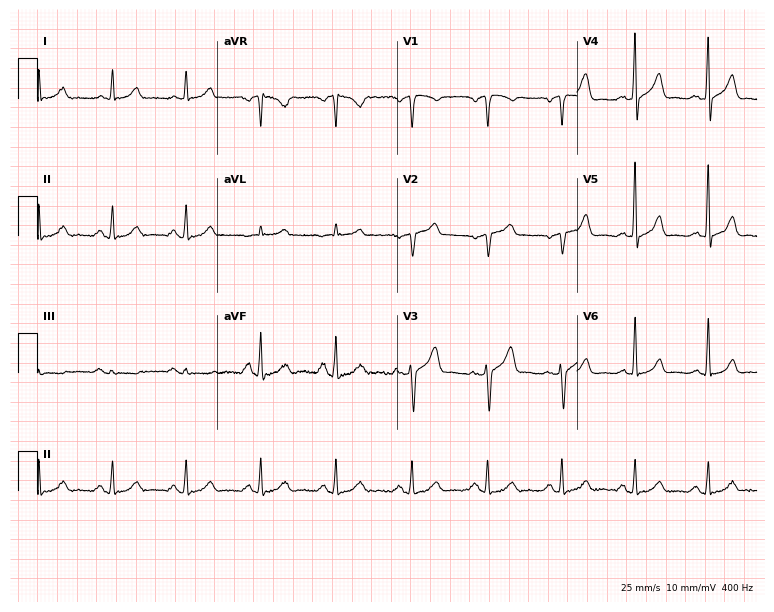
12-lead ECG from a man, 55 years old (7.3-second recording at 400 Hz). No first-degree AV block, right bundle branch block, left bundle branch block, sinus bradycardia, atrial fibrillation or sinus tachycardia recorded for this tracing. Other findings, if any, are not listed.